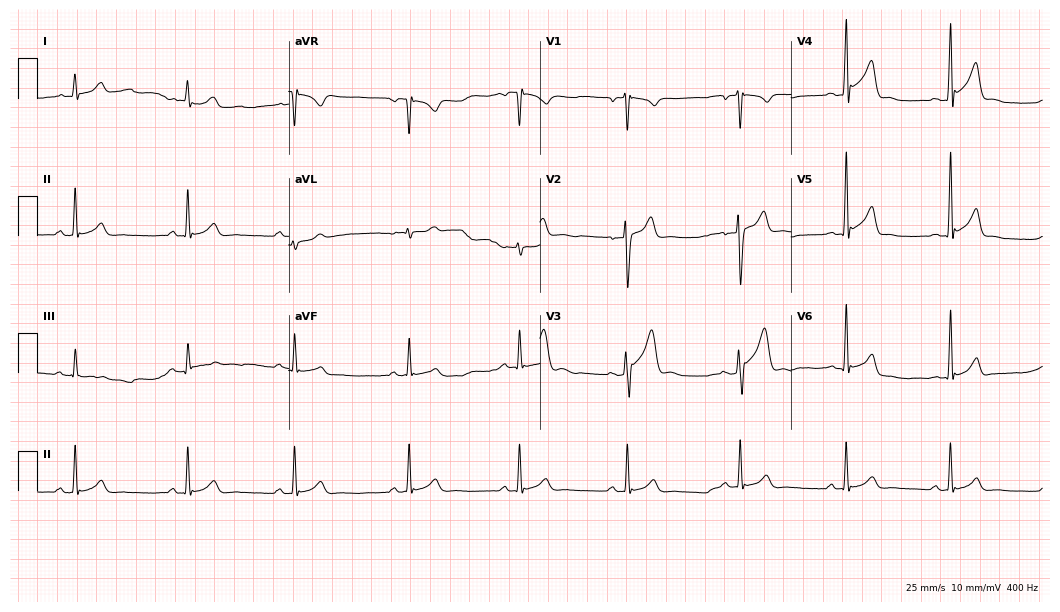
Resting 12-lead electrocardiogram (10.2-second recording at 400 Hz). Patient: a male, 20 years old. Read as a normal ECG.